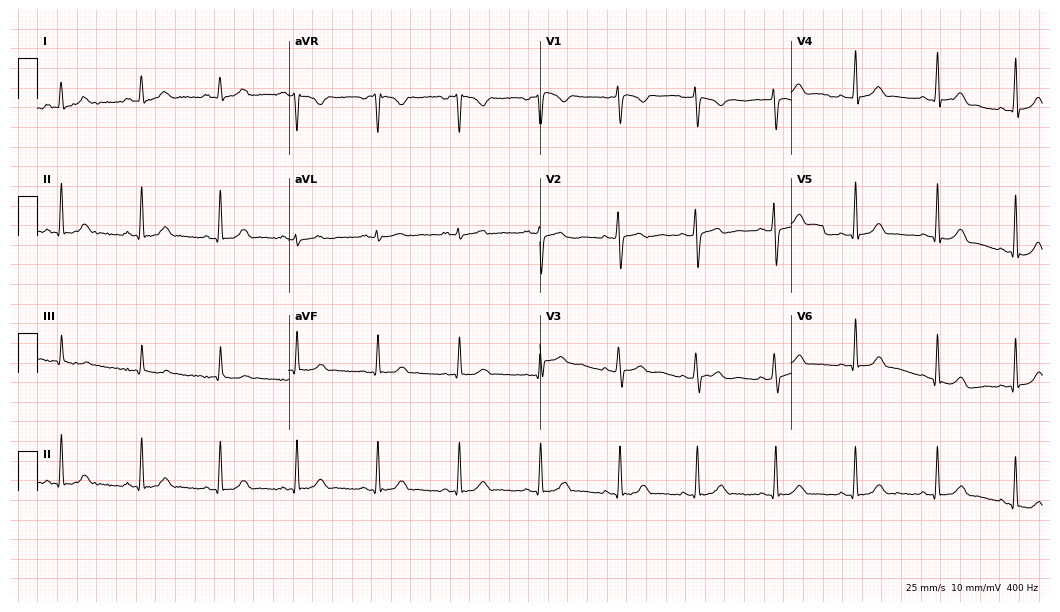
ECG — a 24-year-old woman. Labelled as a normal ECG.